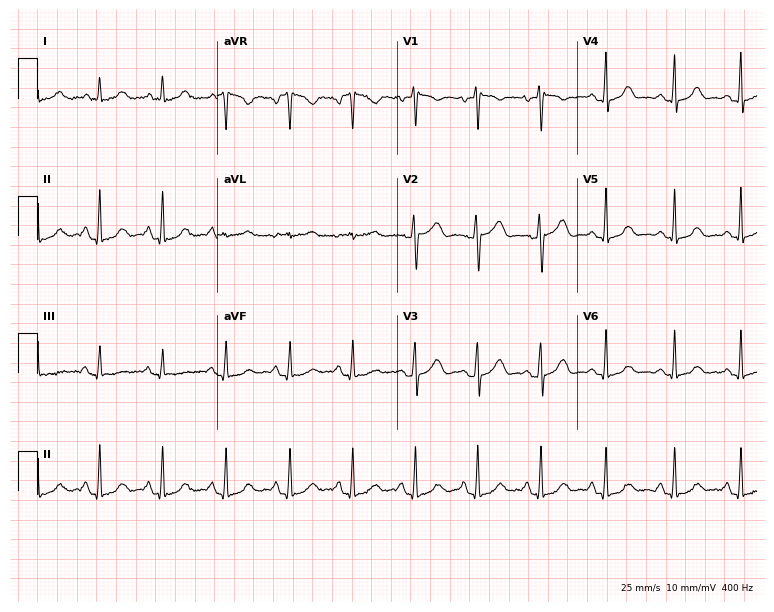
Standard 12-lead ECG recorded from a female, 51 years old (7.3-second recording at 400 Hz). Read as a normal ECG.